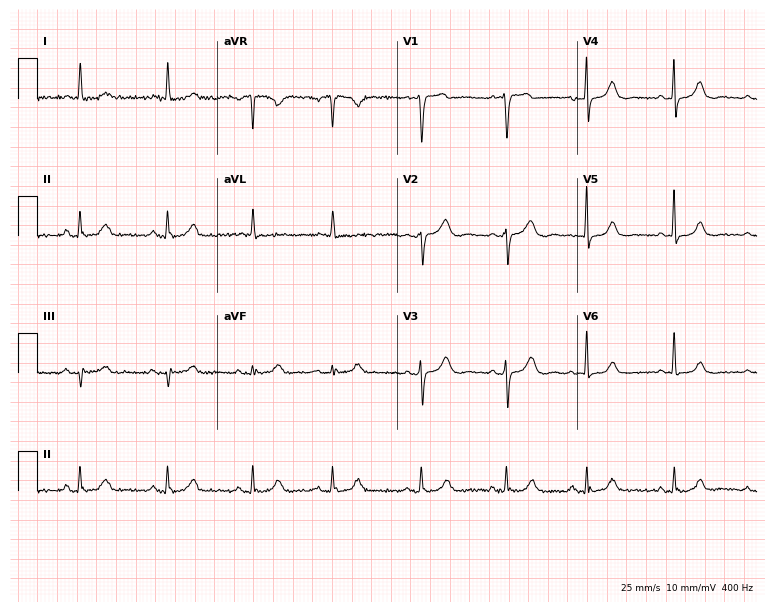
ECG — a 79-year-old female. Screened for six findings — first-degree AV block, right bundle branch block (RBBB), left bundle branch block (LBBB), sinus bradycardia, atrial fibrillation (AF), sinus tachycardia — none is recorded.